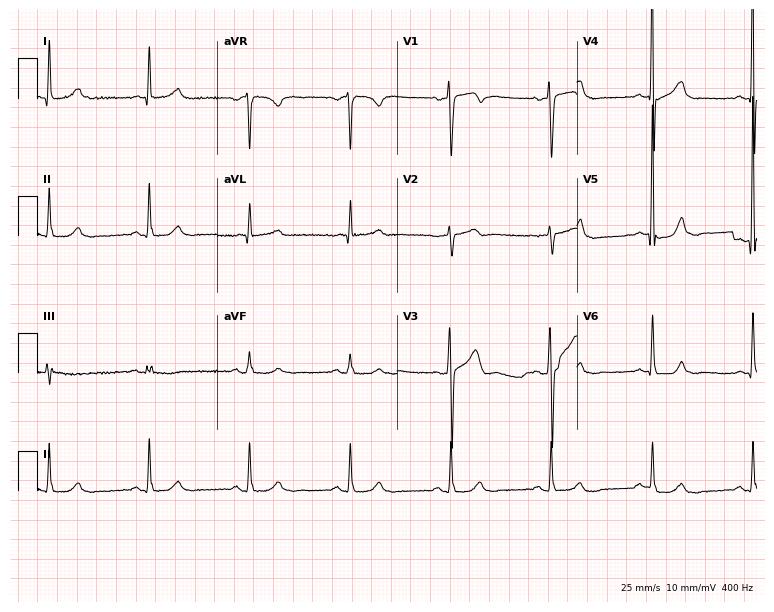
12-lead ECG from a man, 77 years old. No first-degree AV block, right bundle branch block (RBBB), left bundle branch block (LBBB), sinus bradycardia, atrial fibrillation (AF) or sinus tachycardia recorded for this tracing.